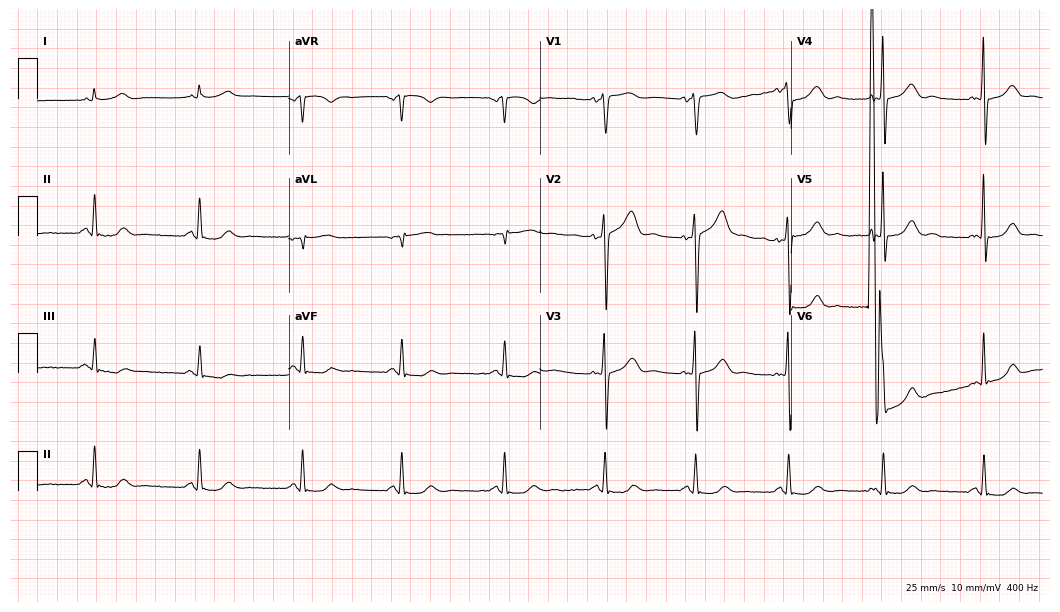
12-lead ECG from a male, 60 years old (10.2-second recording at 400 Hz). No first-degree AV block, right bundle branch block, left bundle branch block, sinus bradycardia, atrial fibrillation or sinus tachycardia recorded for this tracing.